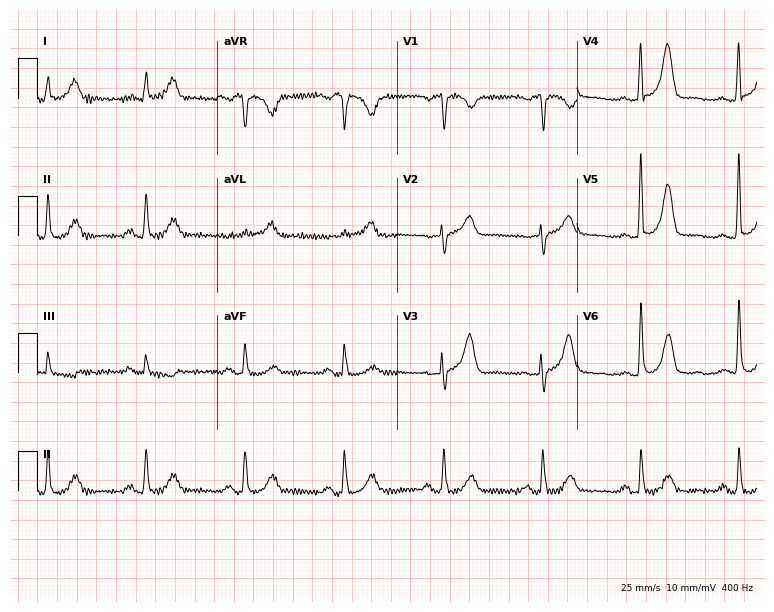
Electrocardiogram, a woman, 70 years old. Of the six screened findings (first-degree AV block, right bundle branch block (RBBB), left bundle branch block (LBBB), sinus bradycardia, atrial fibrillation (AF), sinus tachycardia), none is recorded. Other findings, if any, are not listed.